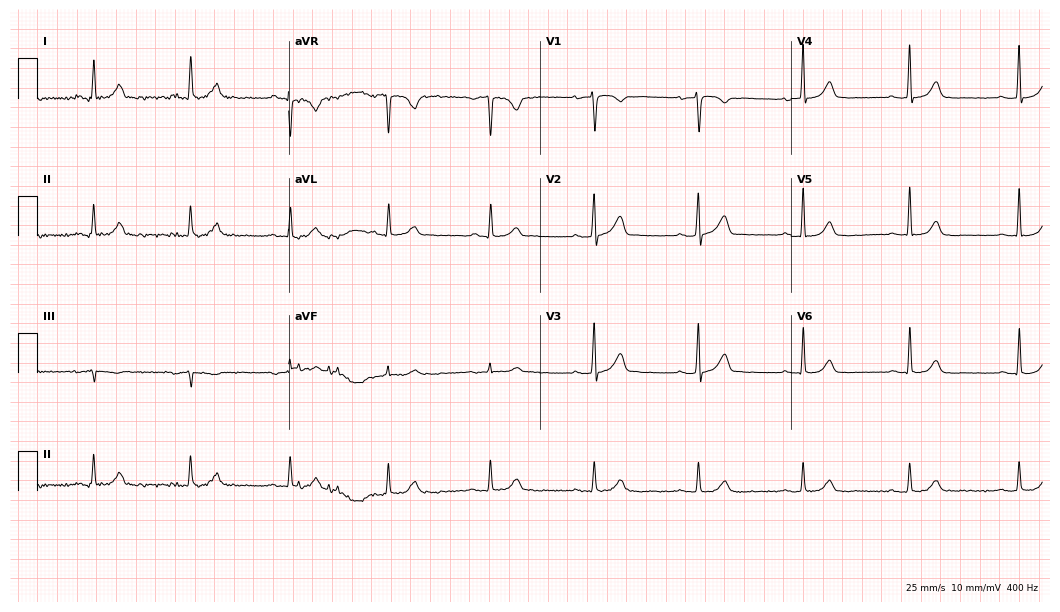
Standard 12-lead ECG recorded from a woman, 69 years old. None of these six findings is recorded: first-degree AV block, right bundle branch block, left bundle branch block, sinus bradycardia, atrial fibrillation, sinus tachycardia.